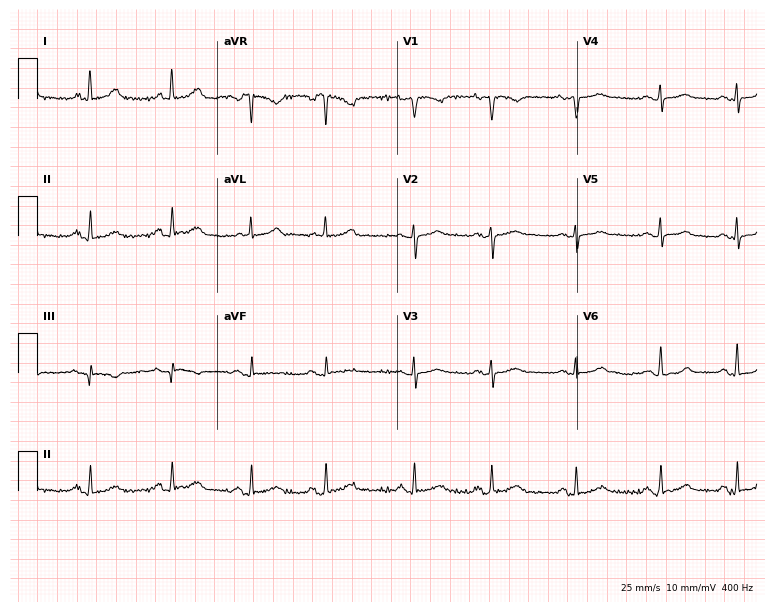
12-lead ECG from a female, 72 years old. Labelled as a normal ECG.